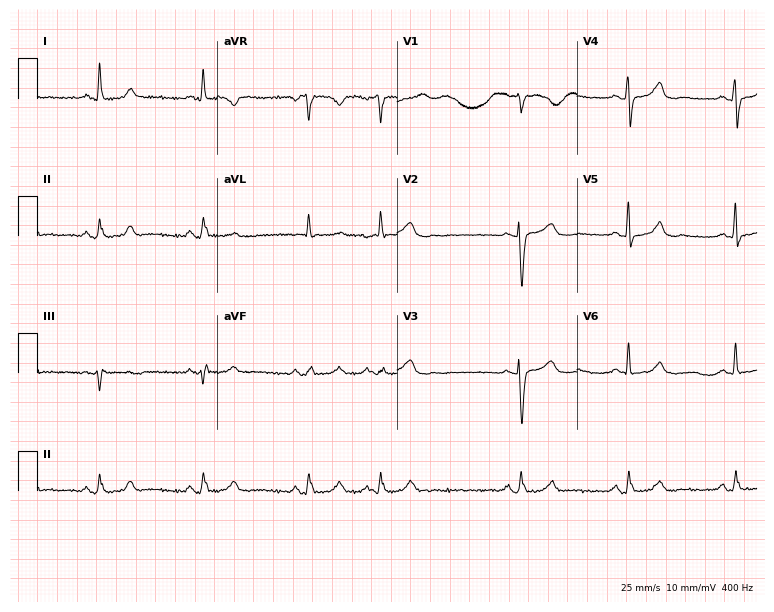
12-lead ECG from a female, 68 years old. Labelled as a normal ECG.